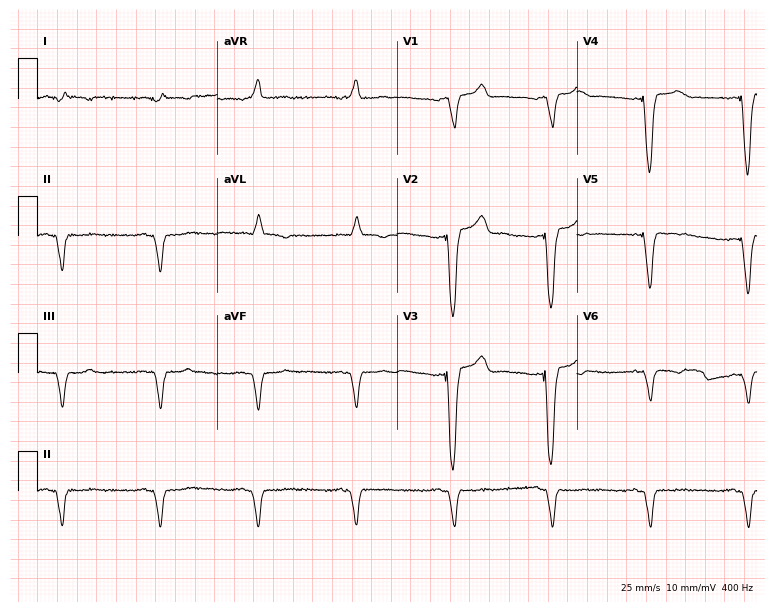
12-lead ECG (7.3-second recording at 400 Hz) from a male patient, 71 years old. Screened for six findings — first-degree AV block, right bundle branch block, left bundle branch block, sinus bradycardia, atrial fibrillation, sinus tachycardia — none is recorded.